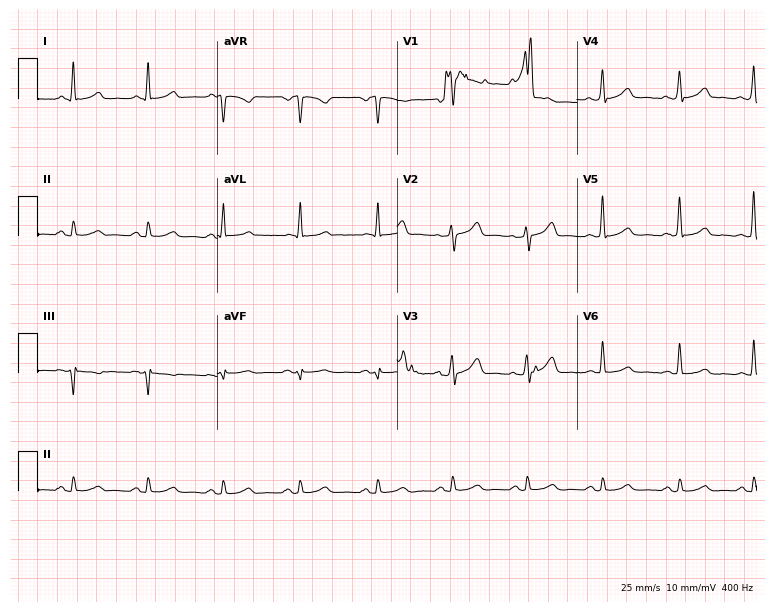
Electrocardiogram, a male, 57 years old. Of the six screened findings (first-degree AV block, right bundle branch block (RBBB), left bundle branch block (LBBB), sinus bradycardia, atrial fibrillation (AF), sinus tachycardia), none is recorded. Other findings, if any, are not listed.